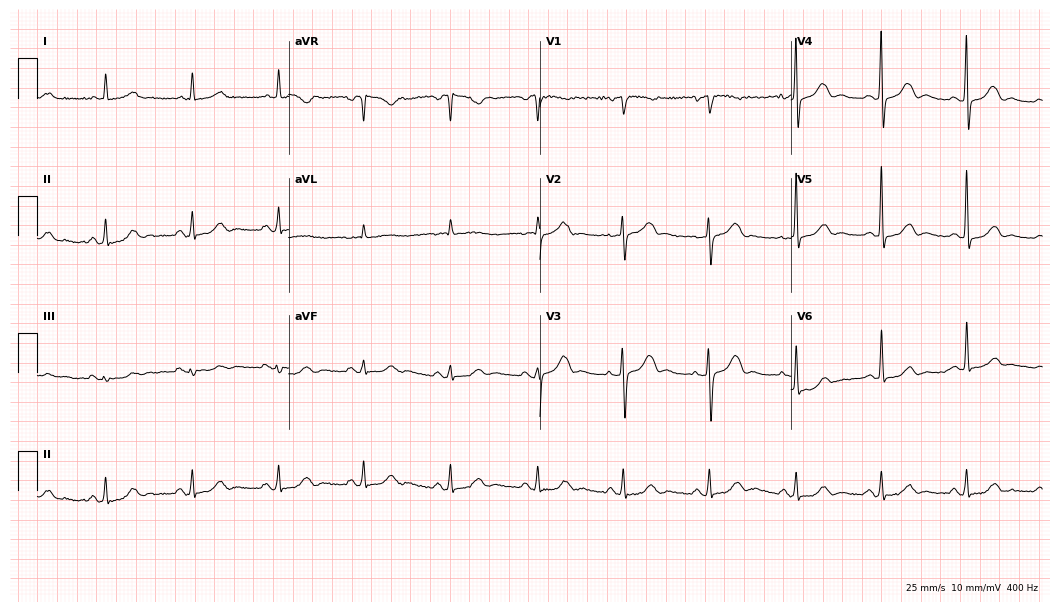
12-lead ECG from a woman, 81 years old. Labelled as a normal ECG.